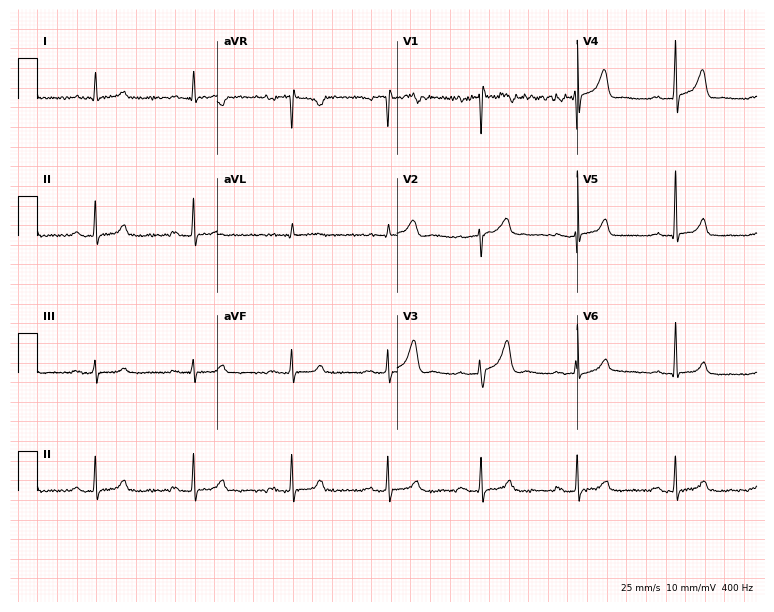
12-lead ECG from a 52-year-old man (7.3-second recording at 400 Hz). No first-degree AV block, right bundle branch block, left bundle branch block, sinus bradycardia, atrial fibrillation or sinus tachycardia recorded for this tracing.